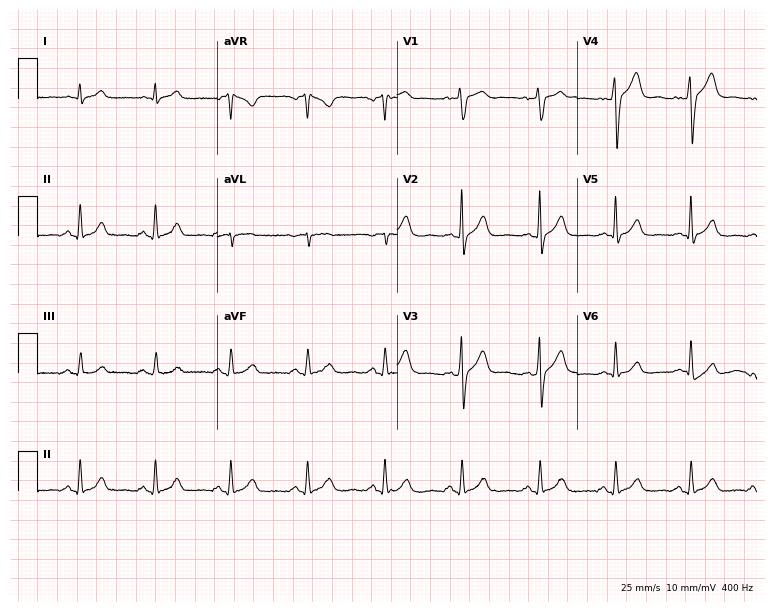
12-lead ECG from a 53-year-old male. Screened for six findings — first-degree AV block, right bundle branch block, left bundle branch block, sinus bradycardia, atrial fibrillation, sinus tachycardia — none is recorded. Findings outside these six are not listed.